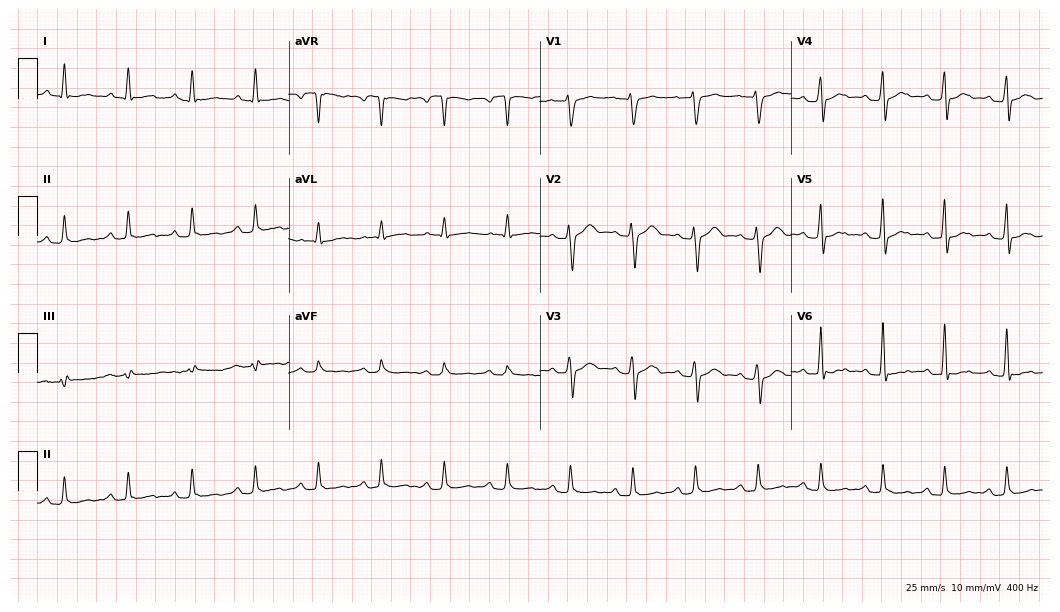
Electrocardiogram (10.2-second recording at 400 Hz), a male patient, 41 years old. Of the six screened findings (first-degree AV block, right bundle branch block, left bundle branch block, sinus bradycardia, atrial fibrillation, sinus tachycardia), none is recorded. Other findings, if any, are not listed.